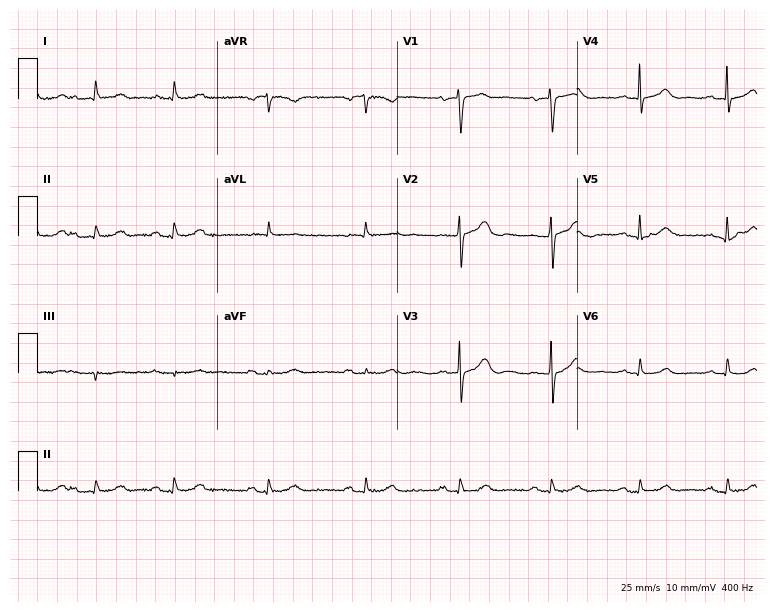
12-lead ECG from a male, 80 years old. Labelled as a normal ECG.